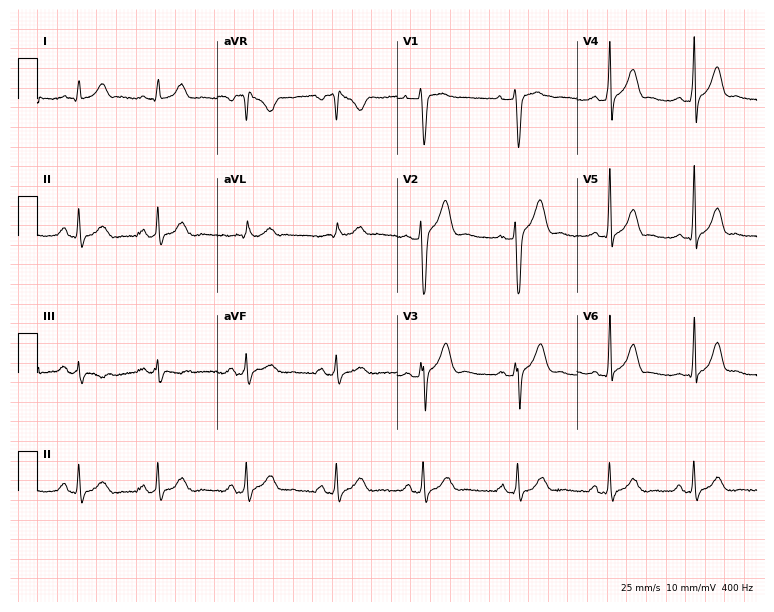
12-lead ECG from a 28-year-old male. Labelled as a normal ECG.